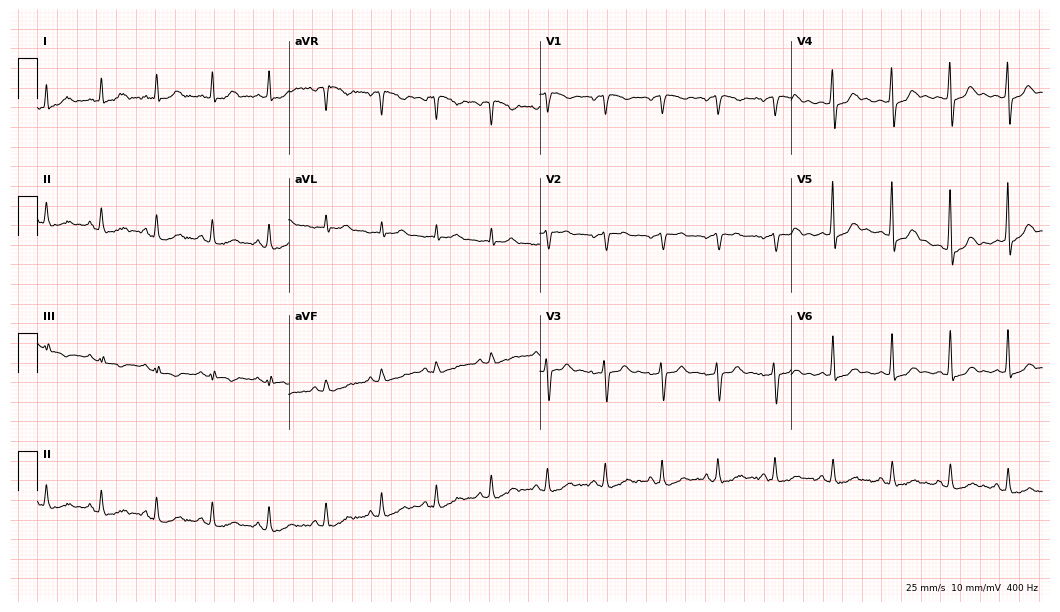
ECG — a 45-year-old female. Findings include sinus tachycardia (a sinus rate of 100 beats per minute or more).